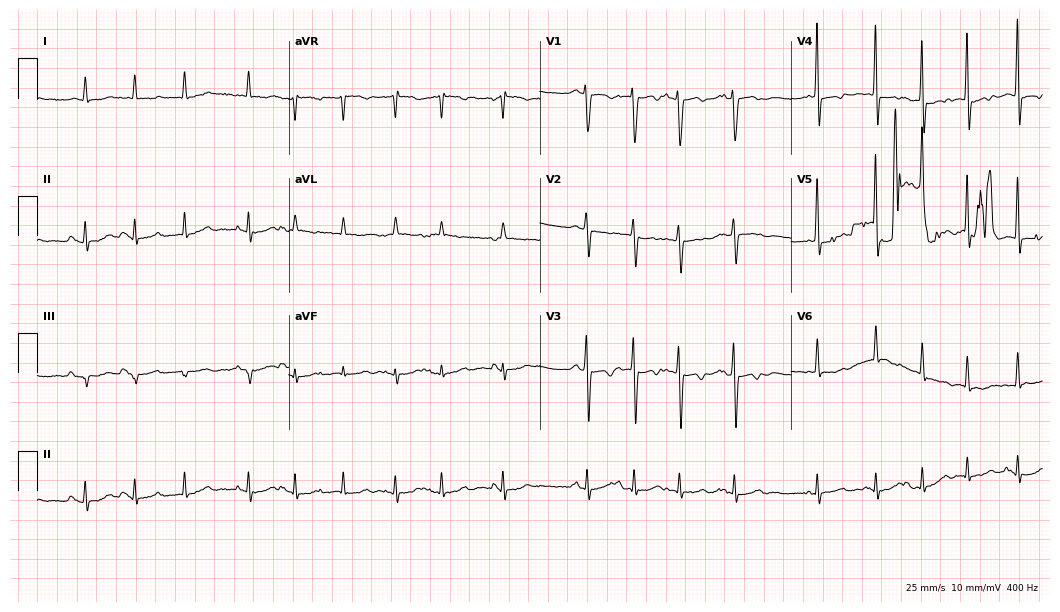
Standard 12-lead ECG recorded from a 76-year-old woman (10.2-second recording at 400 Hz). None of these six findings is recorded: first-degree AV block, right bundle branch block, left bundle branch block, sinus bradycardia, atrial fibrillation, sinus tachycardia. Other findings, if any, are not listed.